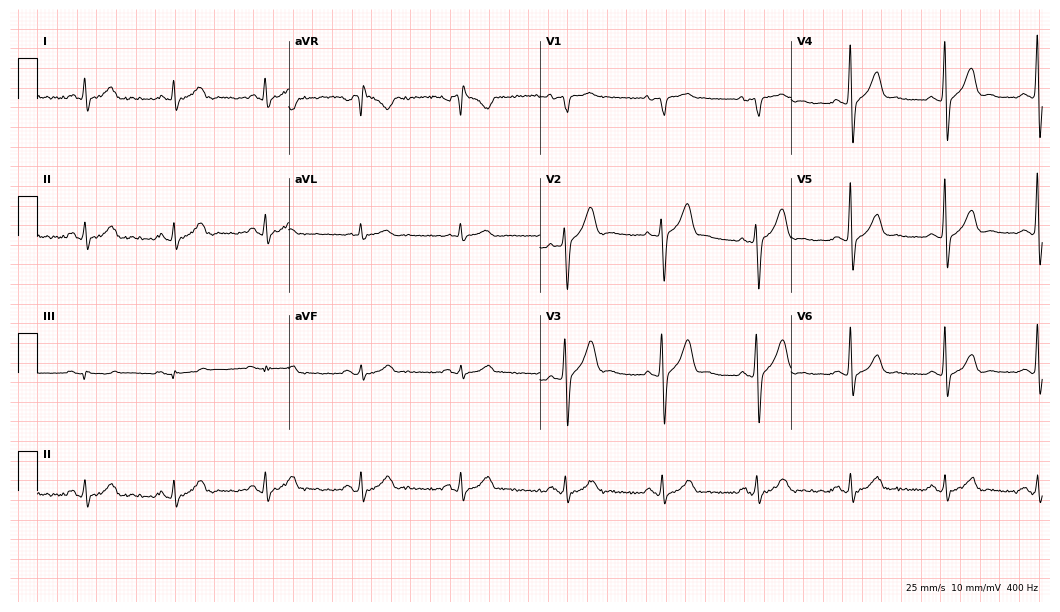
Electrocardiogram (10.2-second recording at 400 Hz), a male, 41 years old. Of the six screened findings (first-degree AV block, right bundle branch block, left bundle branch block, sinus bradycardia, atrial fibrillation, sinus tachycardia), none is recorded.